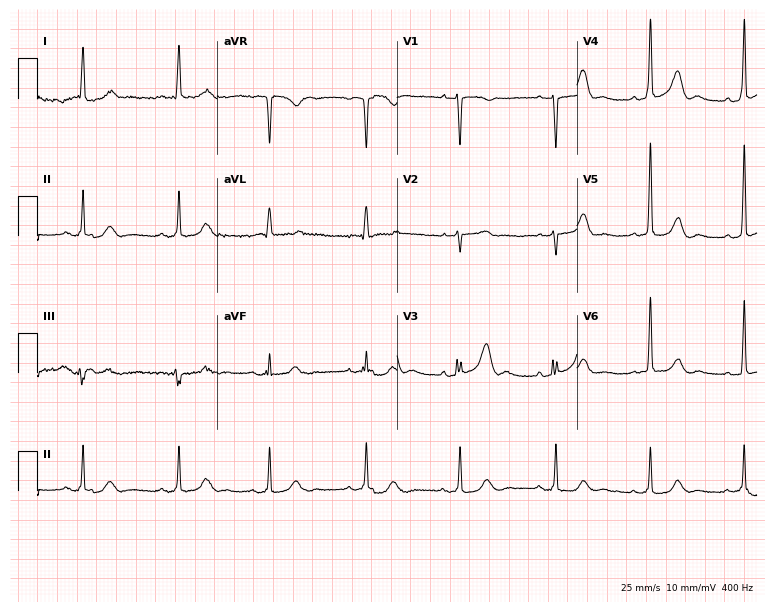
ECG — a female patient, 70 years old. Screened for six findings — first-degree AV block, right bundle branch block, left bundle branch block, sinus bradycardia, atrial fibrillation, sinus tachycardia — none is recorded. Other findings, if any, are not listed.